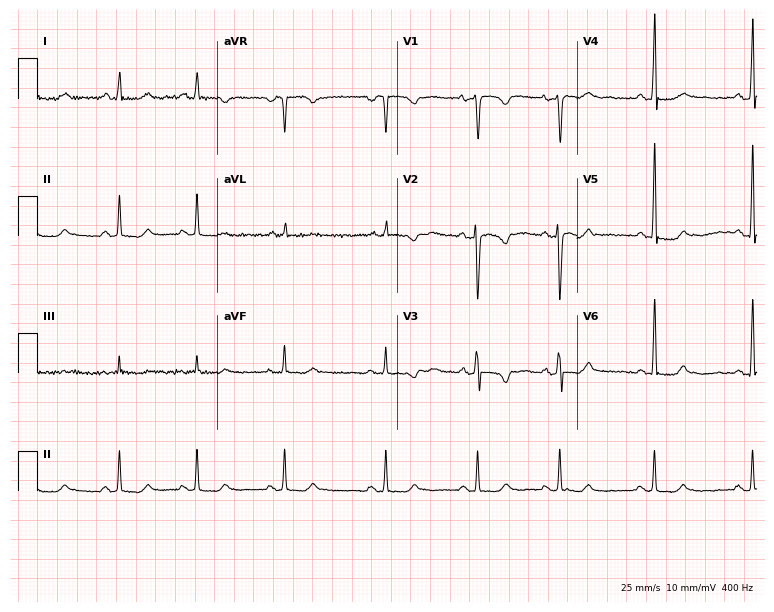
12-lead ECG from a female, 22 years old. Recorded interpretation: within normal limits.